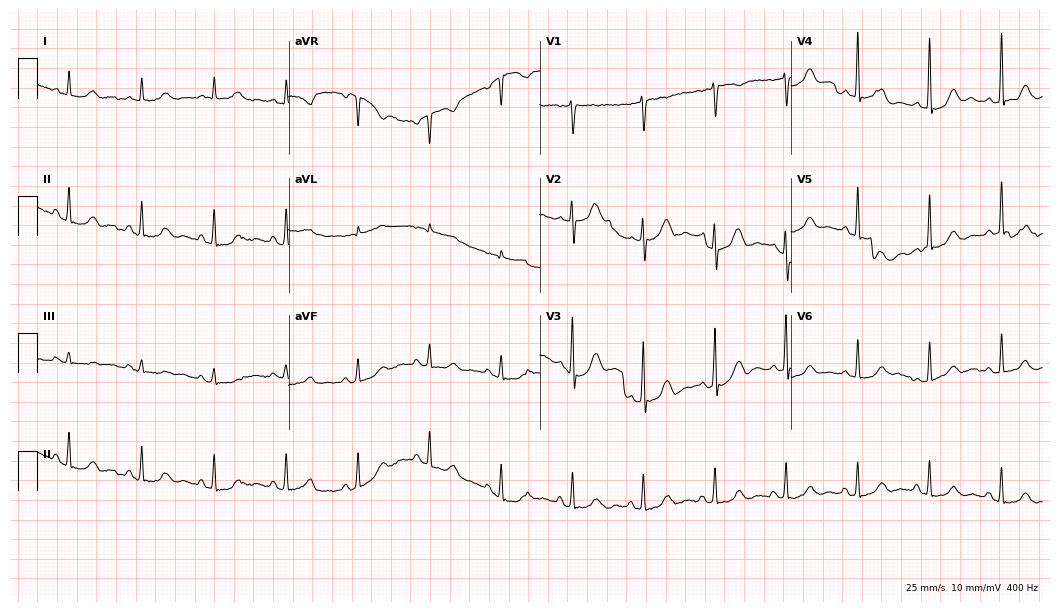
12-lead ECG from a 47-year-old woman (10.2-second recording at 400 Hz). Recorded interpretation: within normal limits.